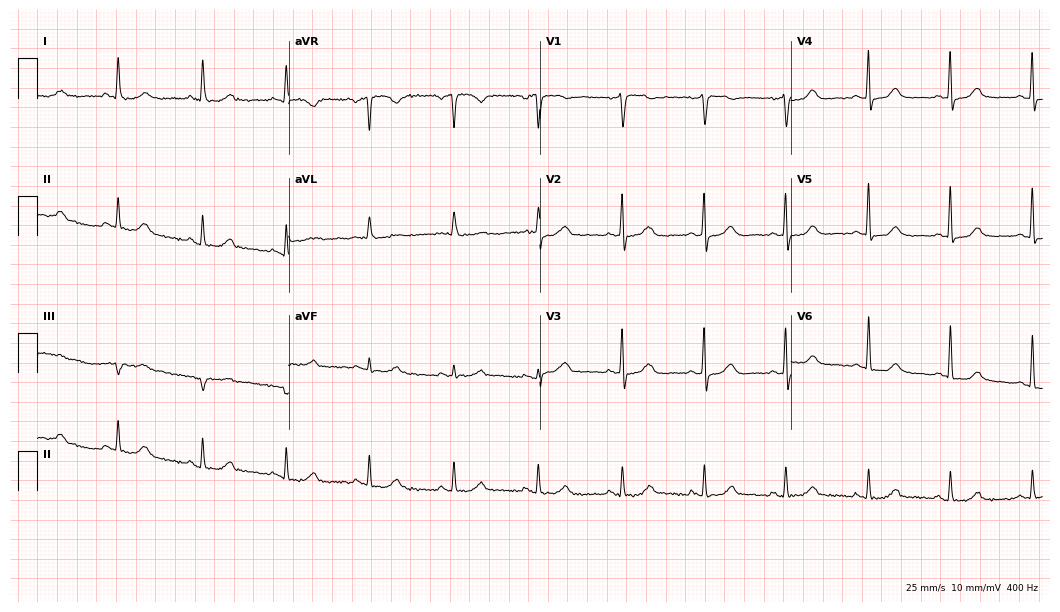
Electrocardiogram, a 61-year-old woman. Overall reading on record: normal ECG.